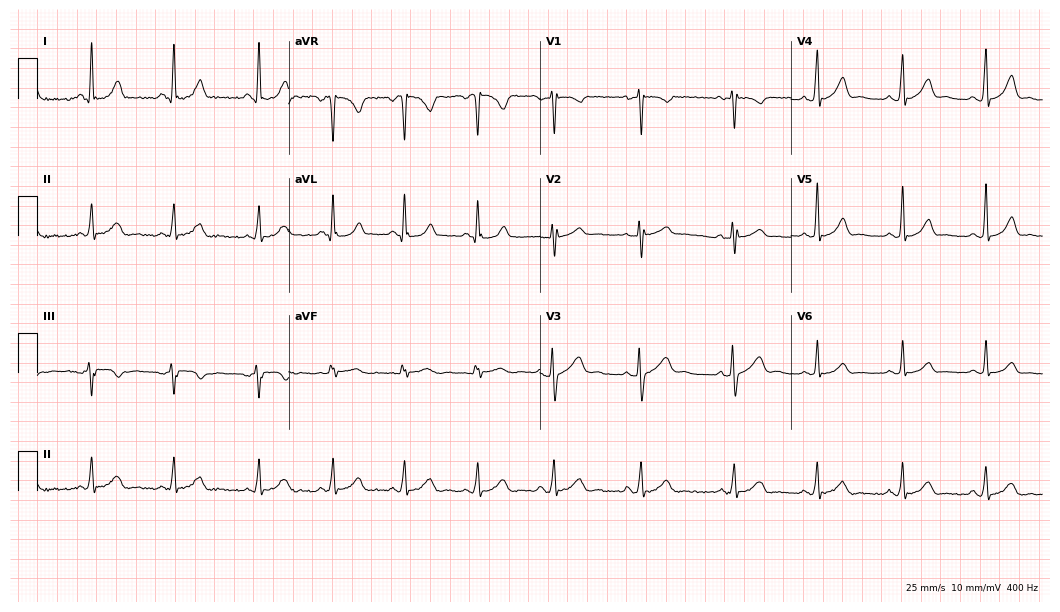
ECG (10.2-second recording at 400 Hz) — a 20-year-old woman. Labelled as a normal ECG.